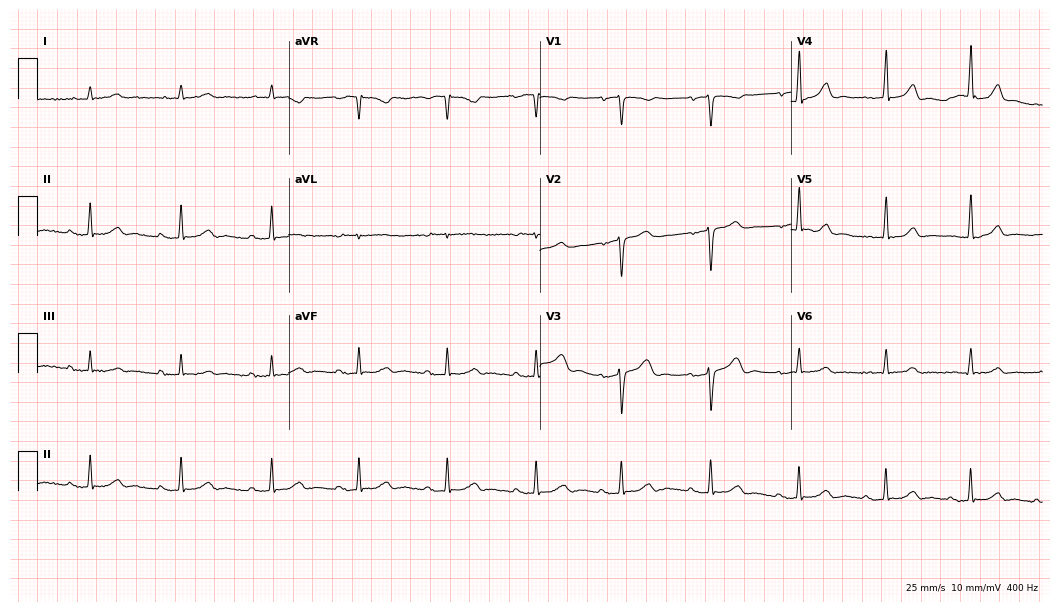
12-lead ECG from a male, 56 years old. No first-degree AV block, right bundle branch block (RBBB), left bundle branch block (LBBB), sinus bradycardia, atrial fibrillation (AF) or sinus tachycardia recorded for this tracing.